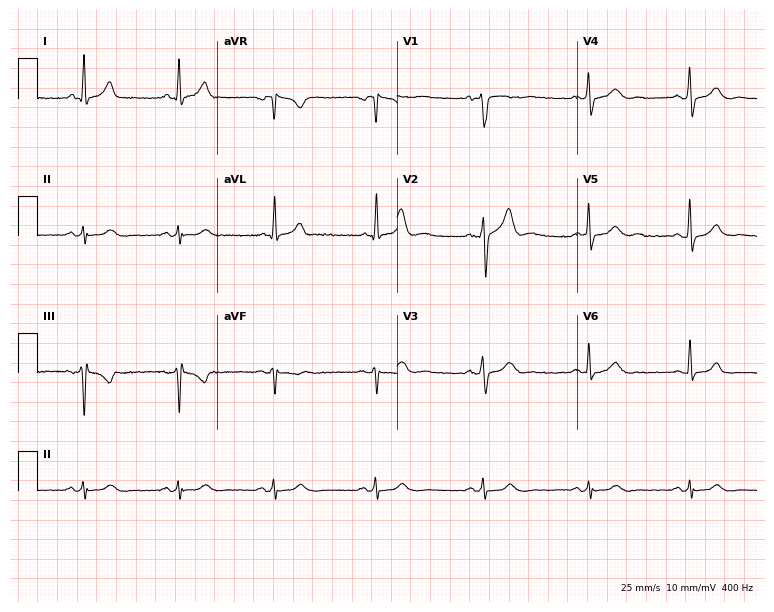
Electrocardiogram (7.3-second recording at 400 Hz), a man, 57 years old. Overall reading on record: normal ECG.